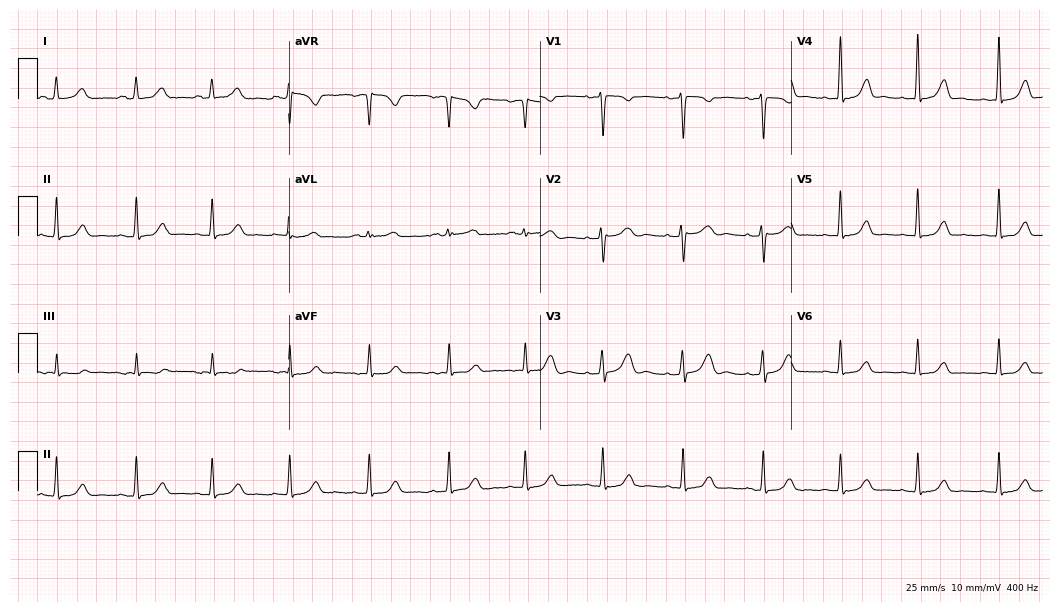
Resting 12-lead electrocardiogram. Patient: a 38-year-old woman. Read as a normal ECG.